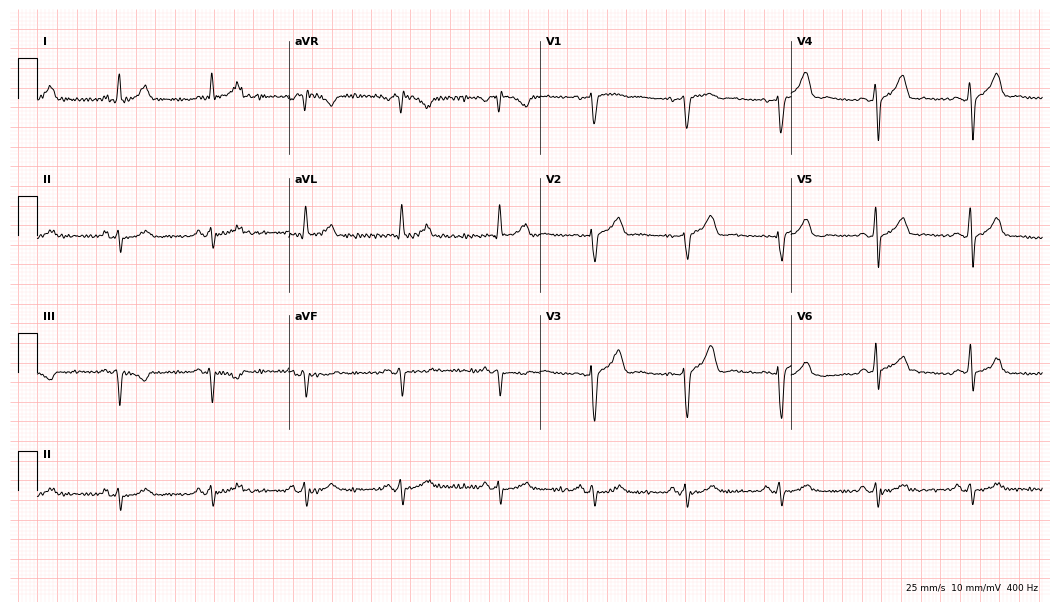
12-lead ECG from a 53-year-old male. No first-degree AV block, right bundle branch block, left bundle branch block, sinus bradycardia, atrial fibrillation or sinus tachycardia recorded for this tracing. Only these six findings were labelled.